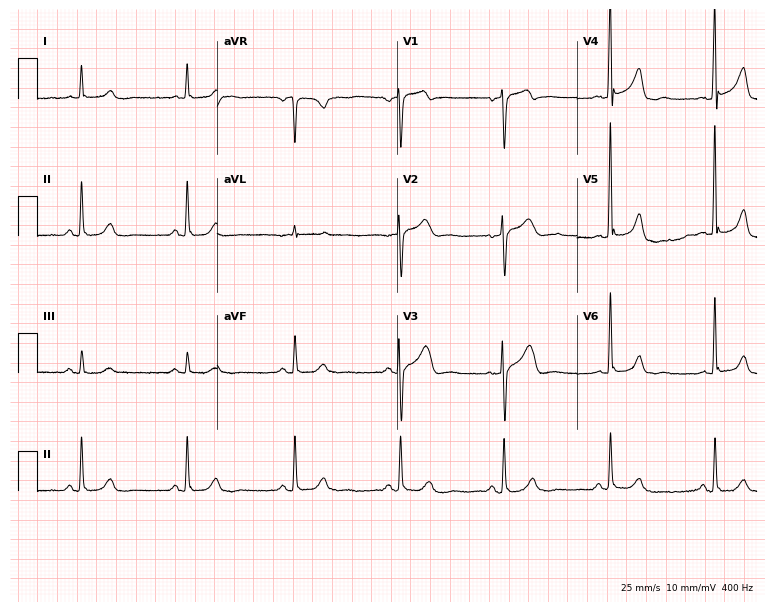
12-lead ECG from a man, 64 years old. Labelled as a normal ECG.